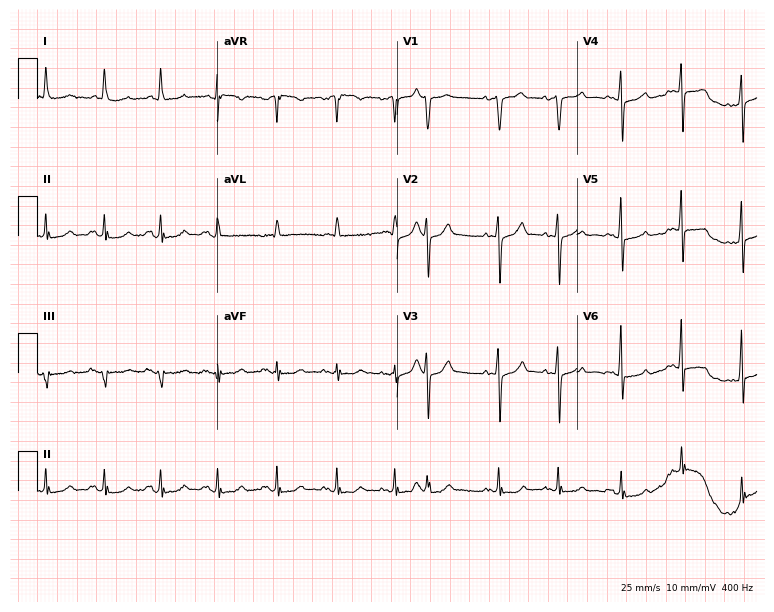
12-lead ECG from an 80-year-old female patient (7.3-second recording at 400 Hz). Recorded interpretation: within normal limits.